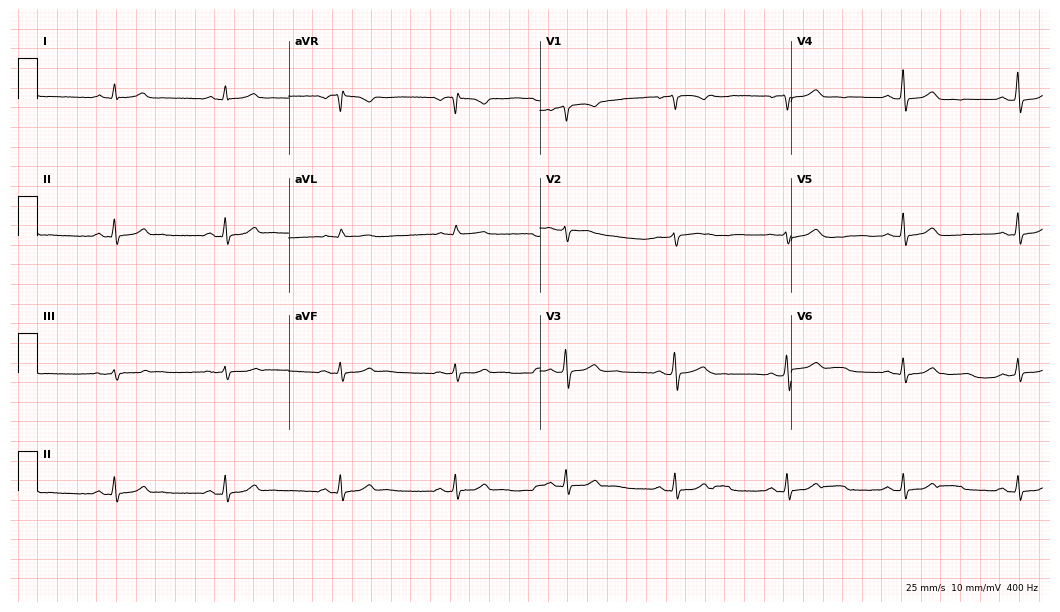
ECG (10.2-second recording at 400 Hz) — a 56-year-old woman. Labelled as a normal ECG.